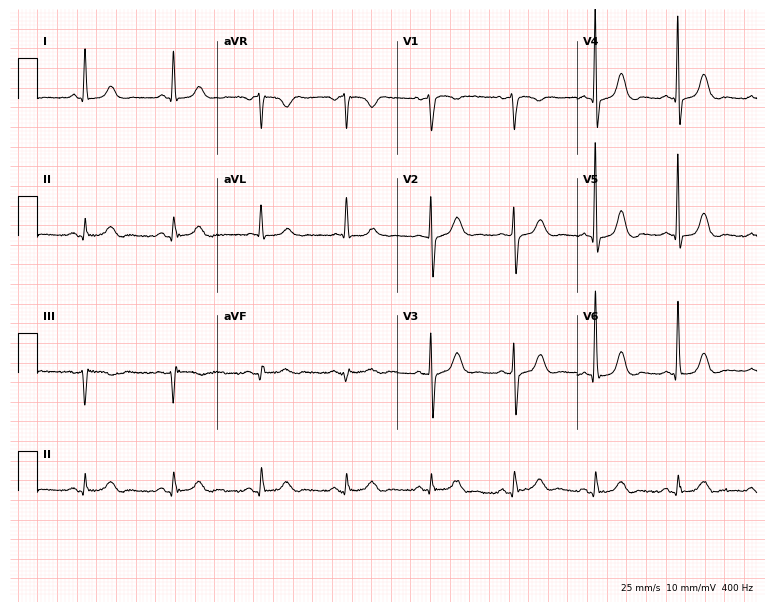
ECG — a 64-year-old female patient. Labelled as a normal ECG.